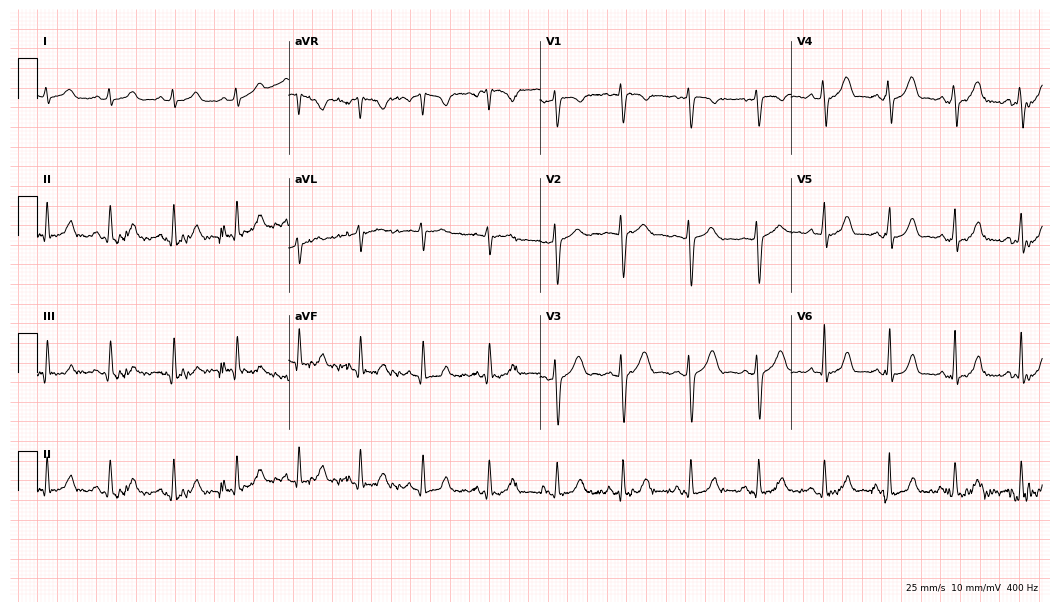
12-lead ECG from a 20-year-old woman. No first-degree AV block, right bundle branch block (RBBB), left bundle branch block (LBBB), sinus bradycardia, atrial fibrillation (AF) or sinus tachycardia recorded for this tracing.